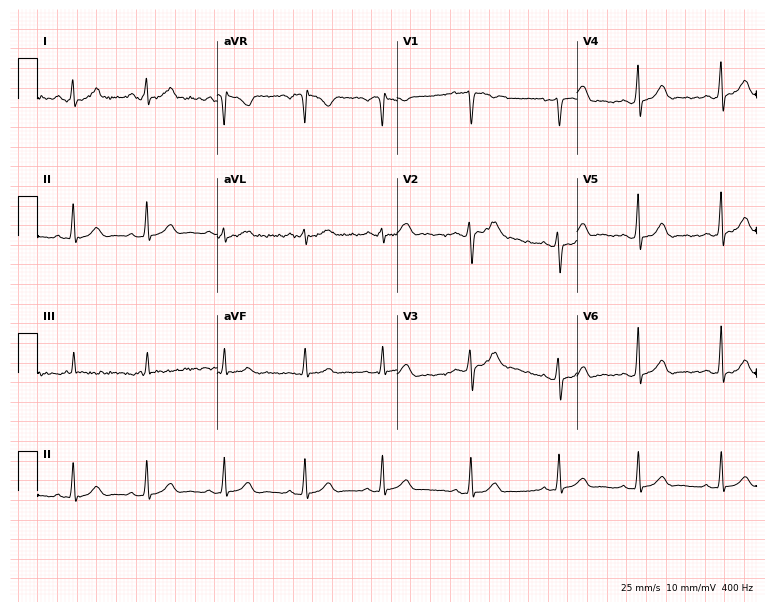
ECG — a female patient, 21 years old. Screened for six findings — first-degree AV block, right bundle branch block, left bundle branch block, sinus bradycardia, atrial fibrillation, sinus tachycardia — none is recorded. Only these six findings were labelled.